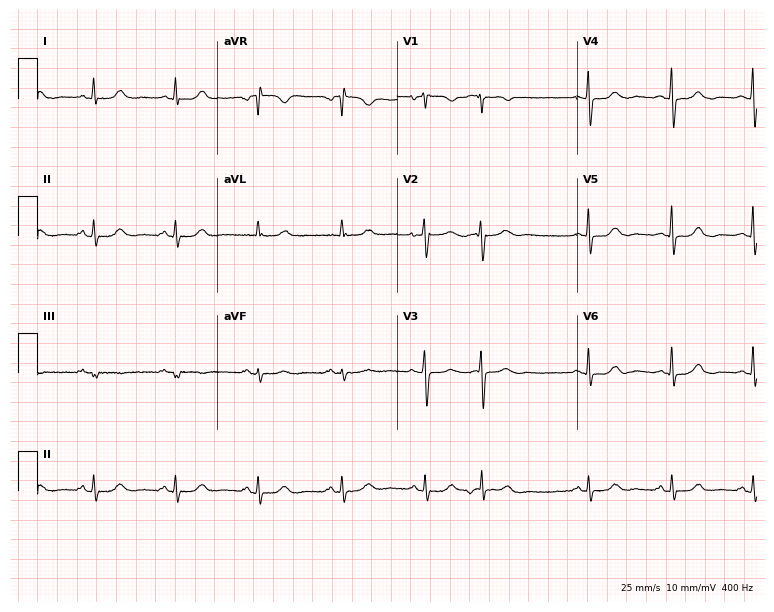
Standard 12-lead ECG recorded from a female, 71 years old. Read as a normal ECG.